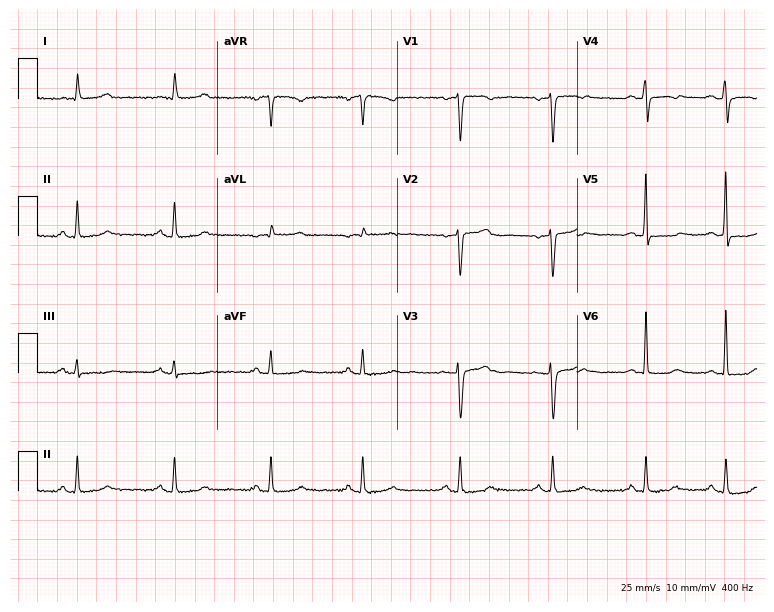
Resting 12-lead electrocardiogram. Patient: a woman, 61 years old. None of these six findings is recorded: first-degree AV block, right bundle branch block, left bundle branch block, sinus bradycardia, atrial fibrillation, sinus tachycardia.